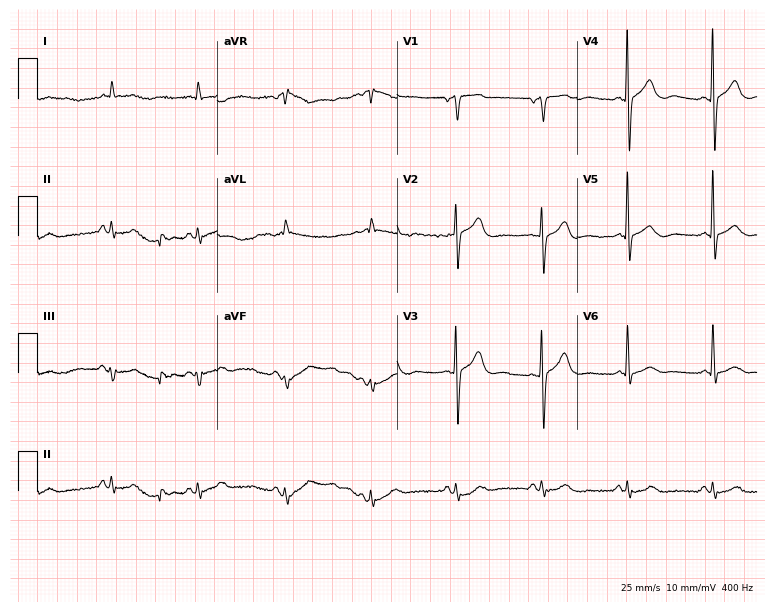
Electrocardiogram (7.3-second recording at 400 Hz), a male patient, 83 years old. Overall reading on record: normal ECG.